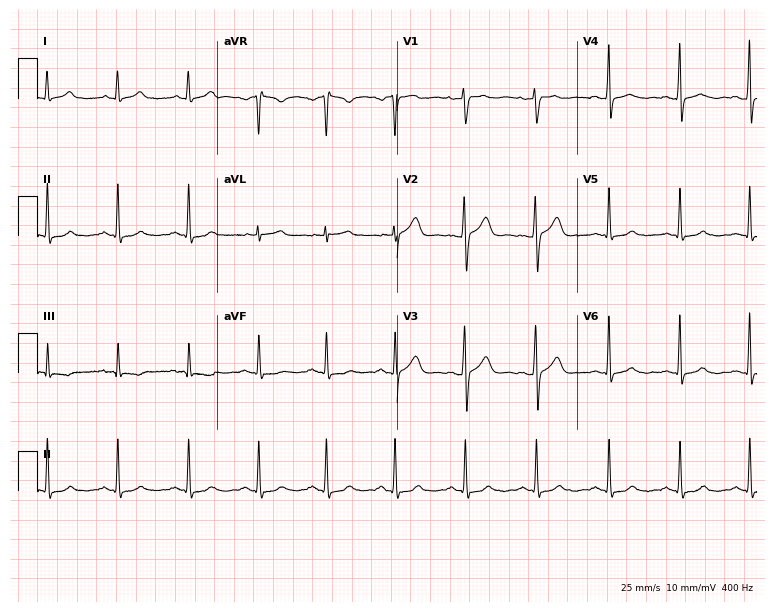
Electrocardiogram (7.3-second recording at 400 Hz), a woman, 38 years old. Overall reading on record: normal ECG.